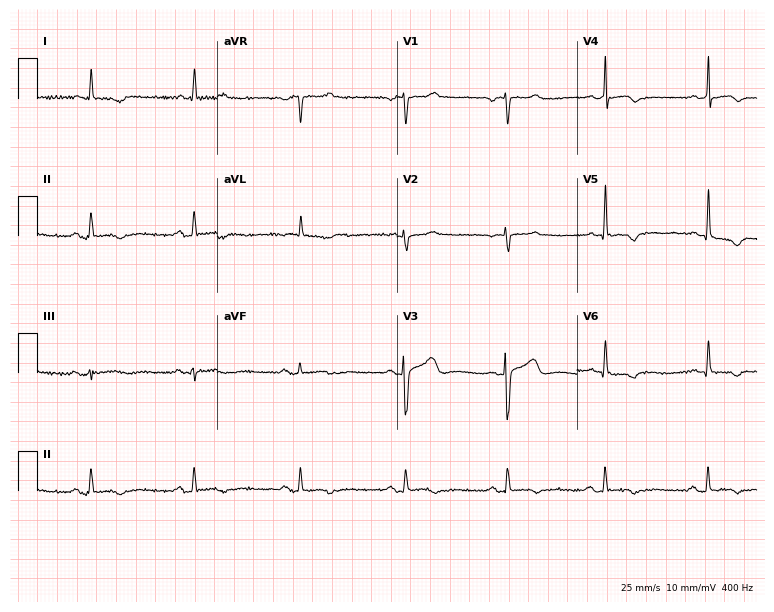
Electrocardiogram (7.3-second recording at 400 Hz), a 72-year-old male. Of the six screened findings (first-degree AV block, right bundle branch block, left bundle branch block, sinus bradycardia, atrial fibrillation, sinus tachycardia), none is recorded. Only these six findings were labelled.